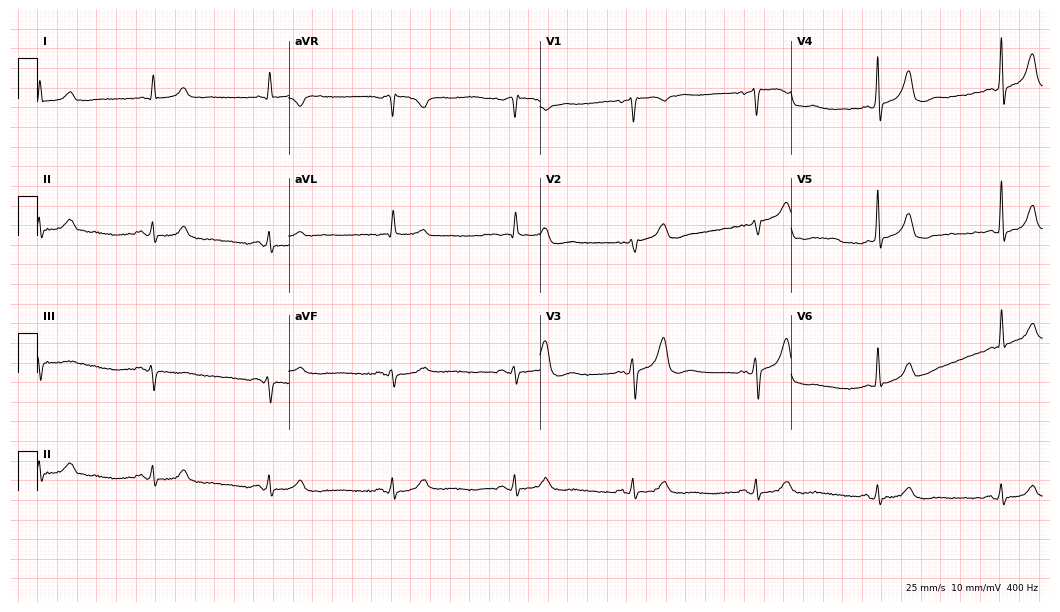
Standard 12-lead ECG recorded from a man, 74 years old. The tracing shows sinus bradycardia (a sinus rate of 50 beats per minute or less).